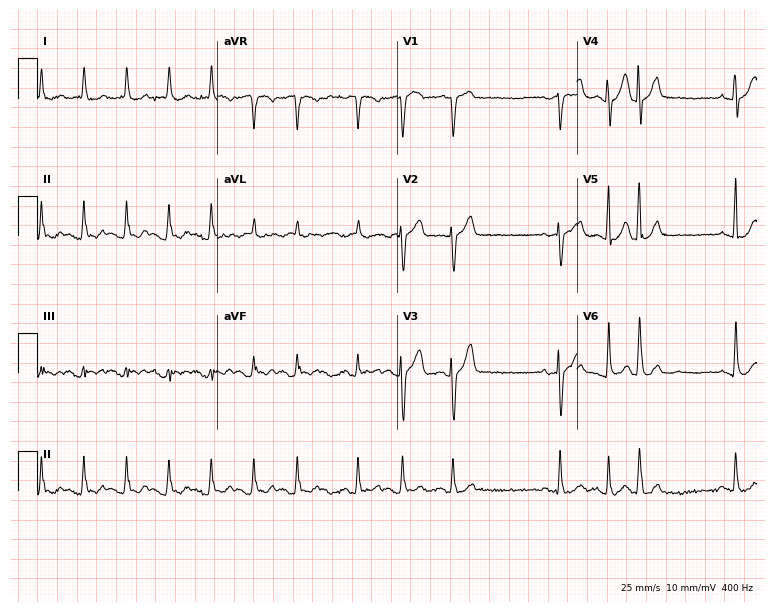
12-lead ECG from an 81-year-old male (7.3-second recording at 400 Hz). Shows atrial fibrillation.